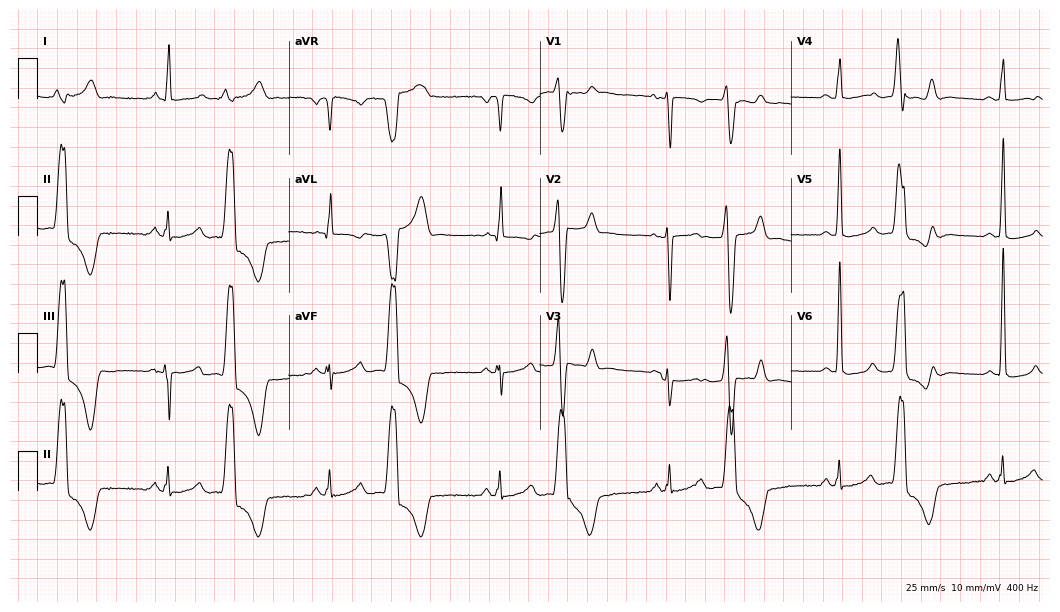
12-lead ECG from a 43-year-old female. Screened for six findings — first-degree AV block, right bundle branch block, left bundle branch block, sinus bradycardia, atrial fibrillation, sinus tachycardia — none is recorded.